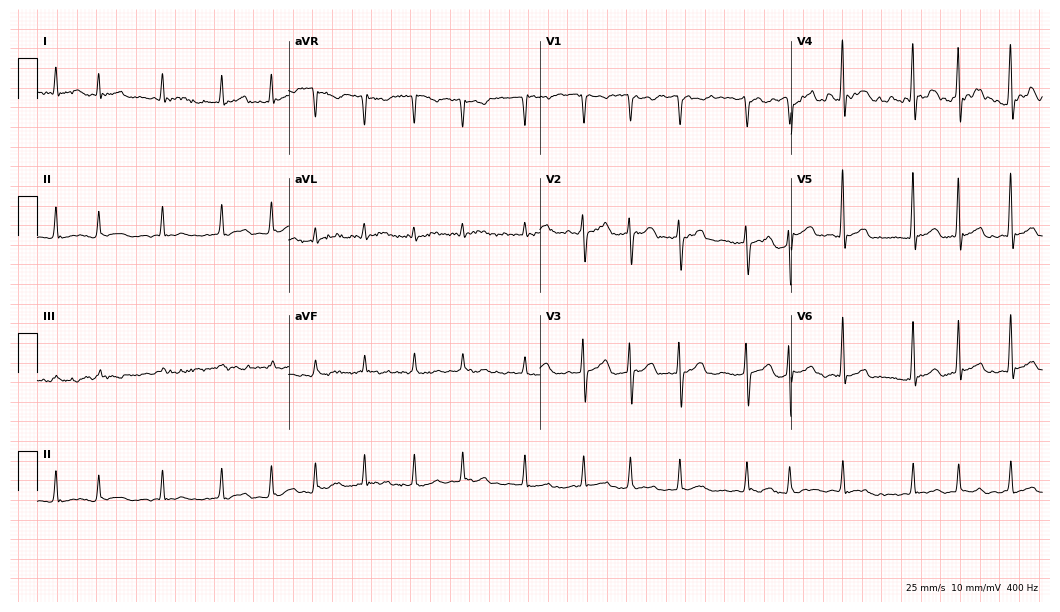
Standard 12-lead ECG recorded from a male, 71 years old (10.2-second recording at 400 Hz). The tracing shows atrial fibrillation (AF).